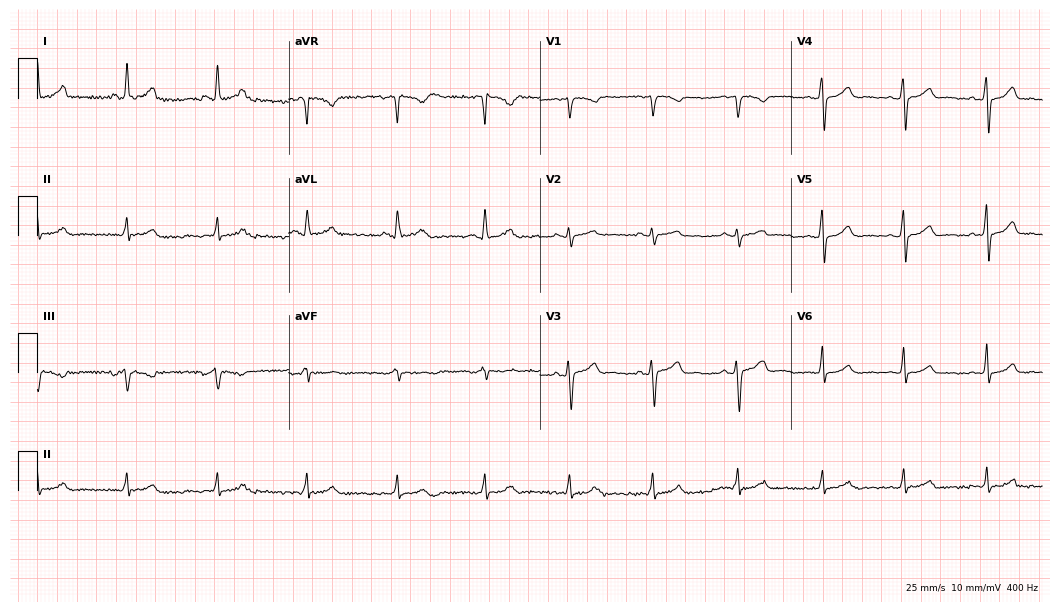
12-lead ECG (10.2-second recording at 400 Hz) from a female, 43 years old. Labelled as a normal ECG.